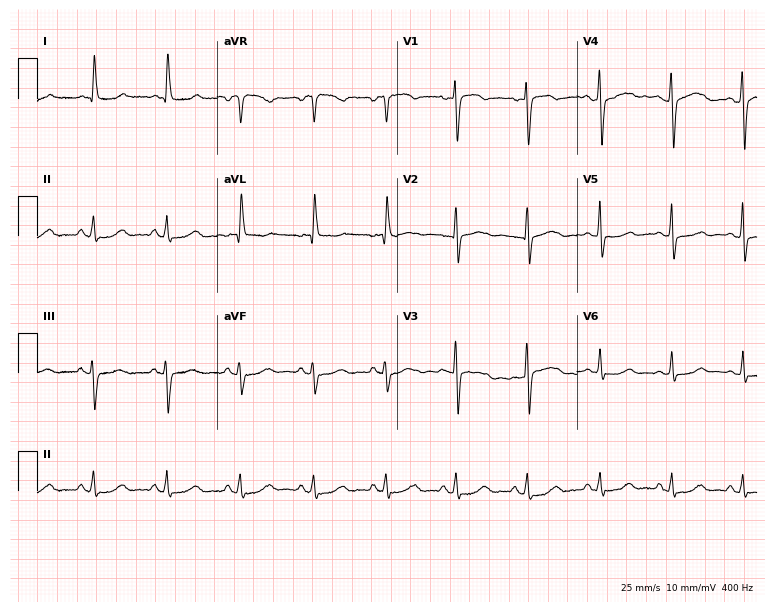
Standard 12-lead ECG recorded from a 69-year-old female. Read as a normal ECG.